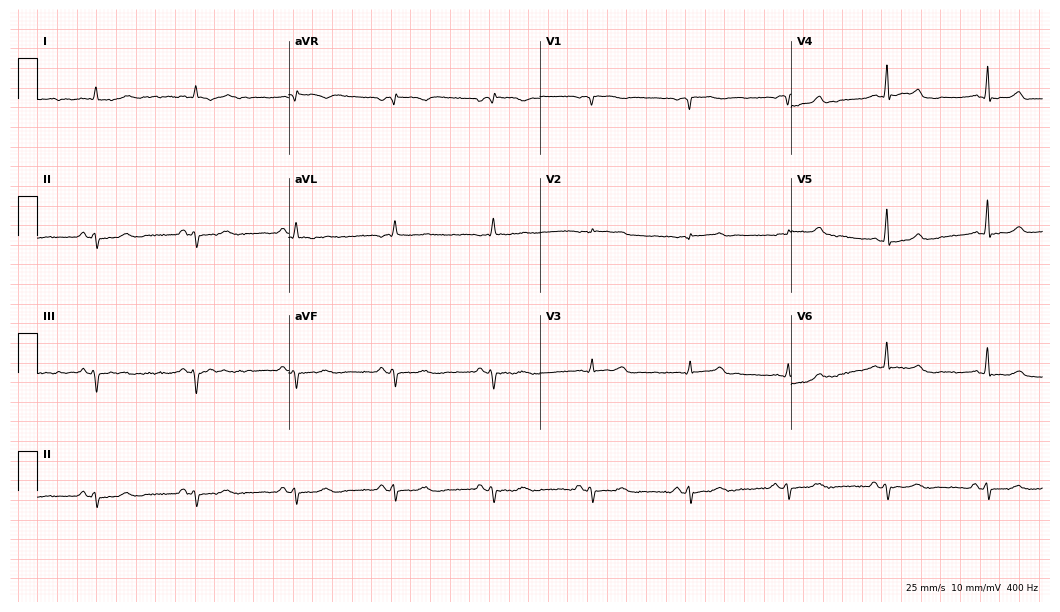
Standard 12-lead ECG recorded from an 82-year-old man. None of these six findings is recorded: first-degree AV block, right bundle branch block, left bundle branch block, sinus bradycardia, atrial fibrillation, sinus tachycardia. Findings outside these six are not listed.